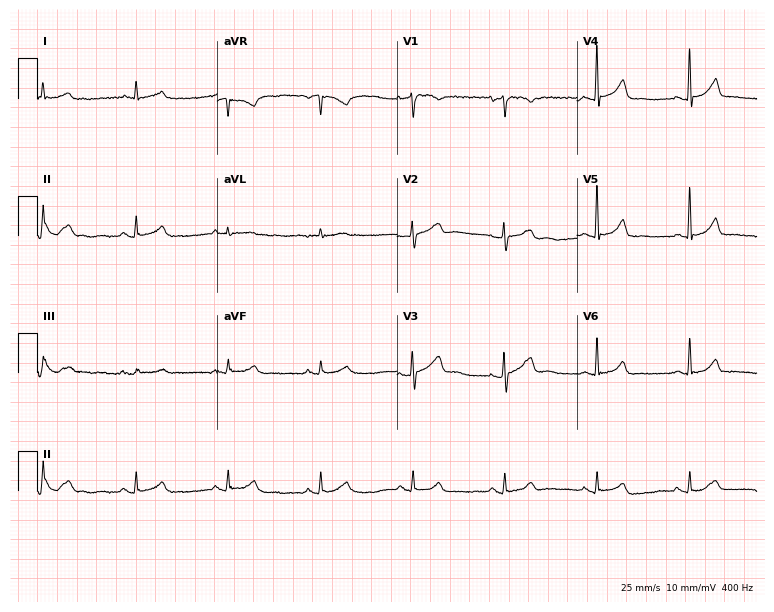
12-lead ECG from a male, 62 years old (7.3-second recording at 400 Hz). Recorded interpretation: within normal limits.